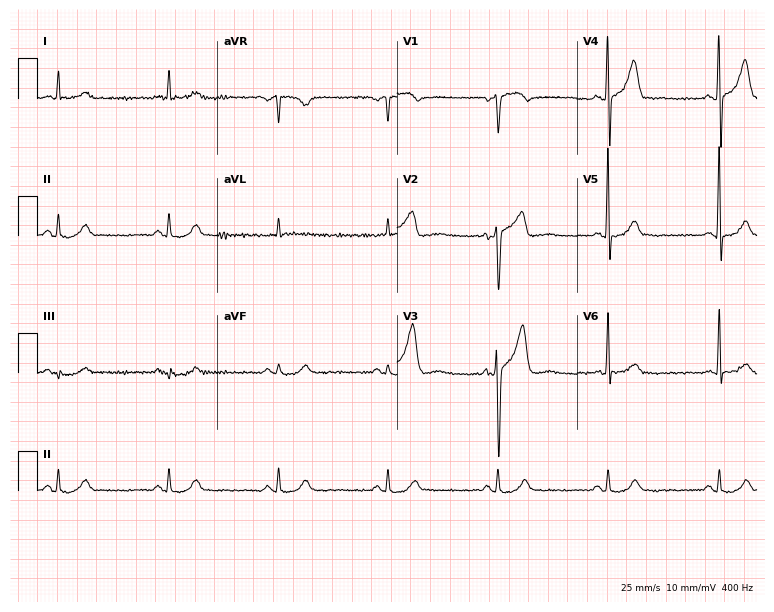
ECG (7.3-second recording at 400 Hz) — a male, 72 years old. Screened for six findings — first-degree AV block, right bundle branch block (RBBB), left bundle branch block (LBBB), sinus bradycardia, atrial fibrillation (AF), sinus tachycardia — none is recorded. Other findings, if any, are not listed.